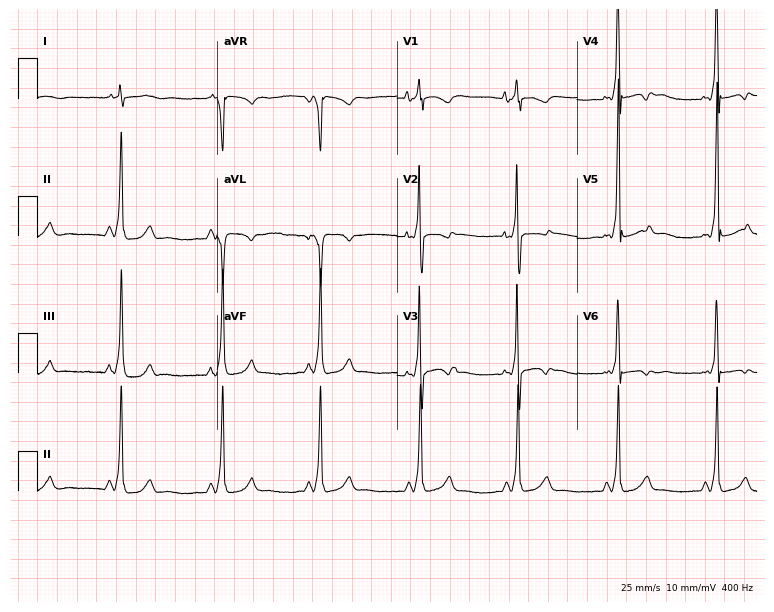
12-lead ECG (7.3-second recording at 400 Hz) from a 41-year-old woman. Screened for six findings — first-degree AV block, right bundle branch block, left bundle branch block, sinus bradycardia, atrial fibrillation, sinus tachycardia — none is recorded.